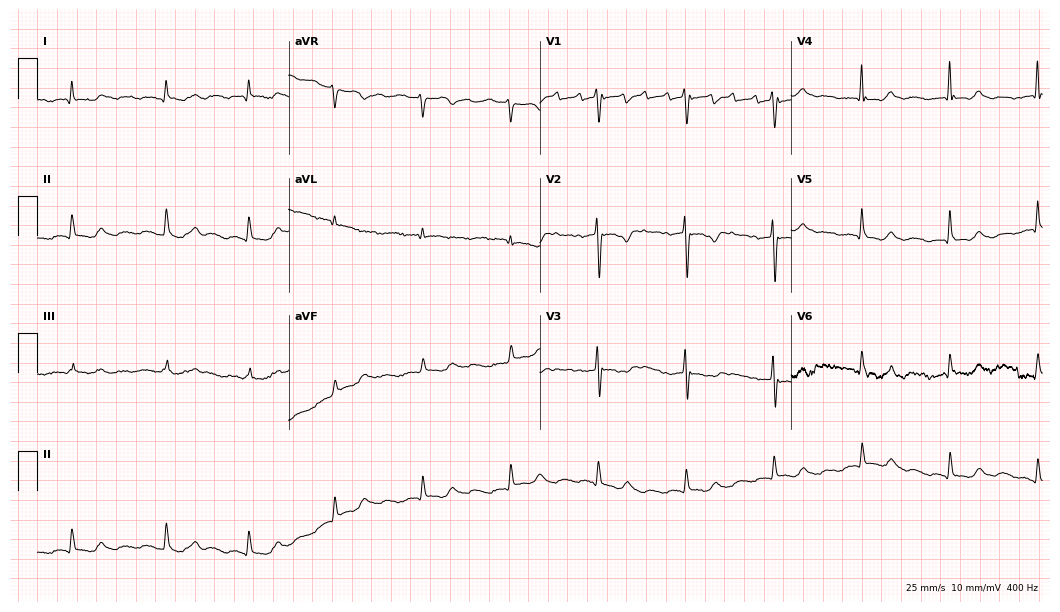
Electrocardiogram, a female, 44 years old. Of the six screened findings (first-degree AV block, right bundle branch block, left bundle branch block, sinus bradycardia, atrial fibrillation, sinus tachycardia), none is recorded. Other findings, if any, are not listed.